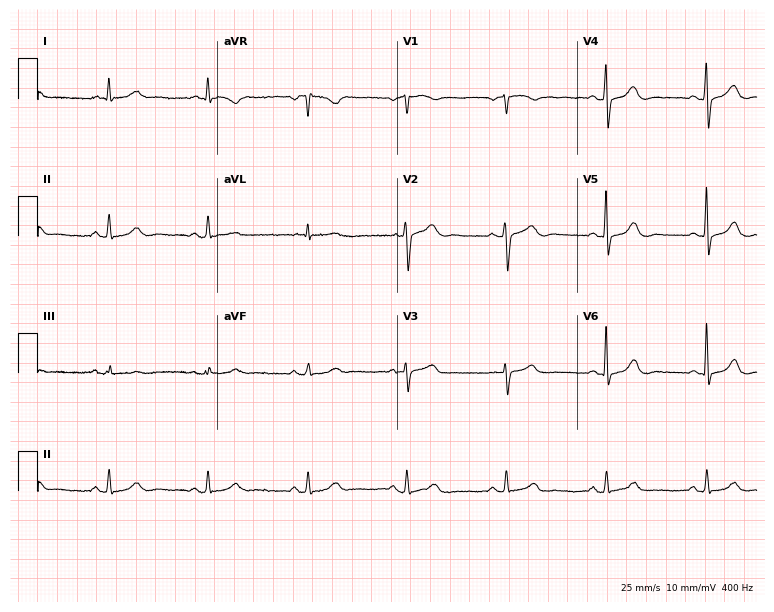
12-lead ECG from a 76-year-old man. Labelled as a normal ECG.